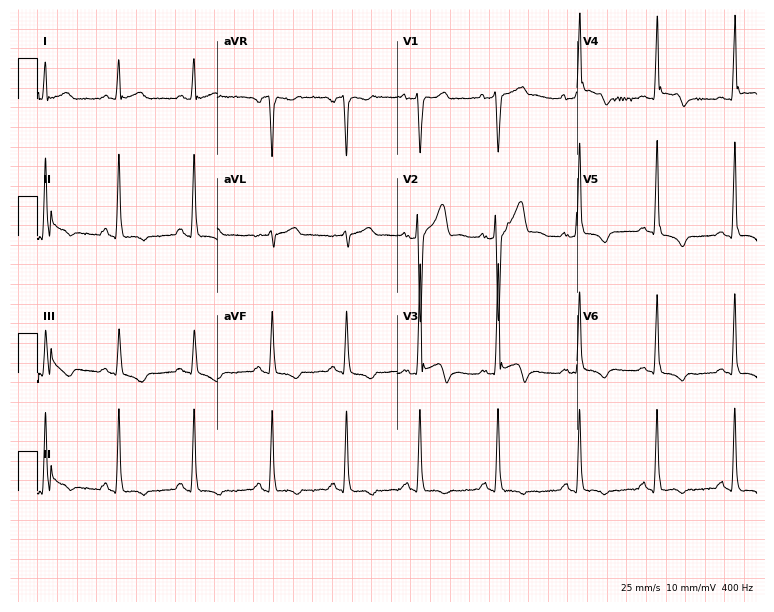
Resting 12-lead electrocardiogram. Patient: a 54-year-old male. None of these six findings is recorded: first-degree AV block, right bundle branch block (RBBB), left bundle branch block (LBBB), sinus bradycardia, atrial fibrillation (AF), sinus tachycardia.